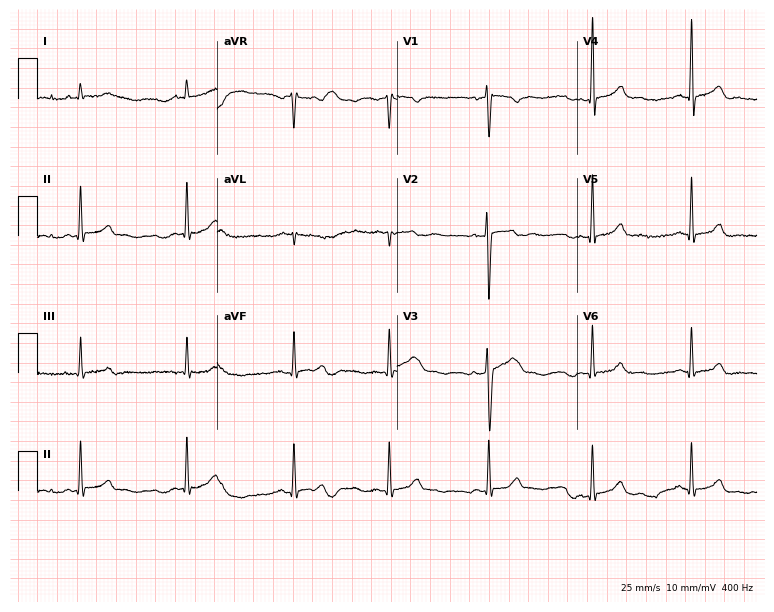
Standard 12-lead ECG recorded from a man, 21 years old (7.3-second recording at 400 Hz). Read as a normal ECG.